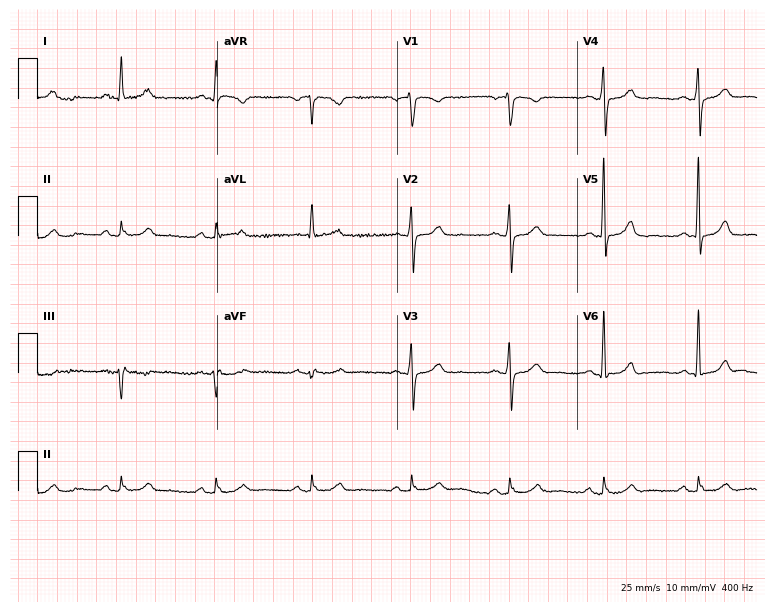
12-lead ECG from a 65-year-old female. Recorded interpretation: within normal limits.